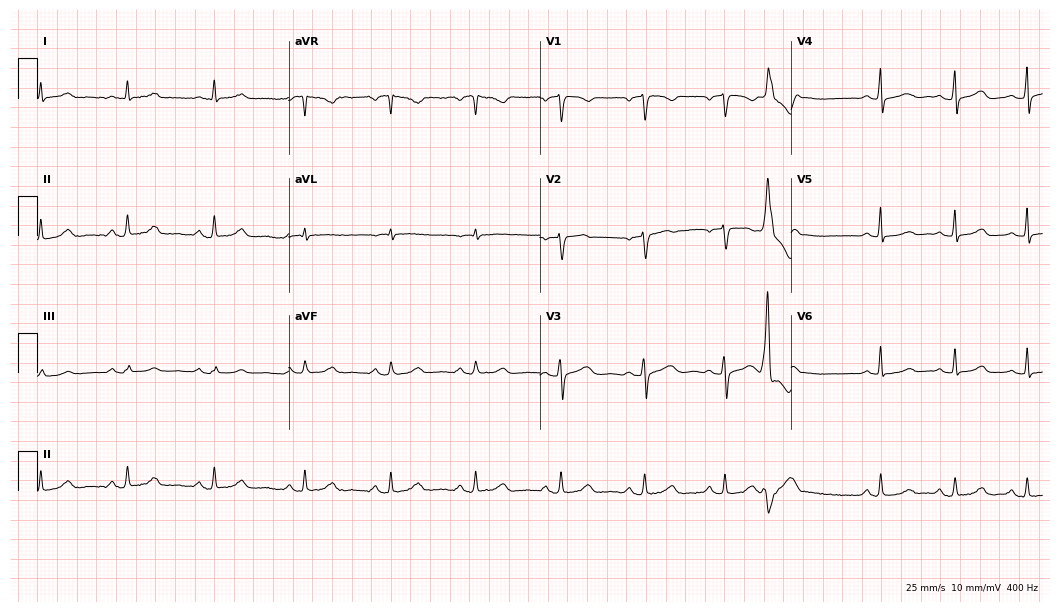
ECG (10.2-second recording at 400 Hz) — a woman, 53 years old. Screened for six findings — first-degree AV block, right bundle branch block, left bundle branch block, sinus bradycardia, atrial fibrillation, sinus tachycardia — none is recorded.